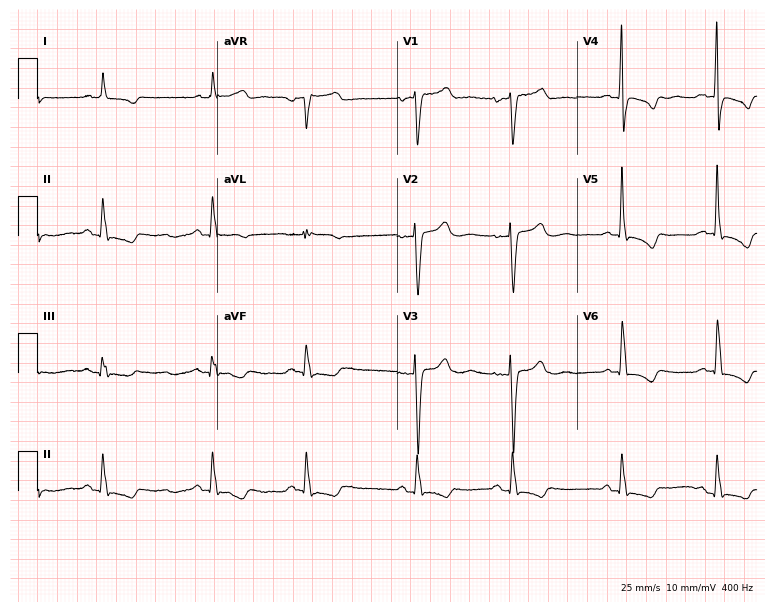
Electrocardiogram (7.3-second recording at 400 Hz), a female patient, 73 years old. Overall reading on record: normal ECG.